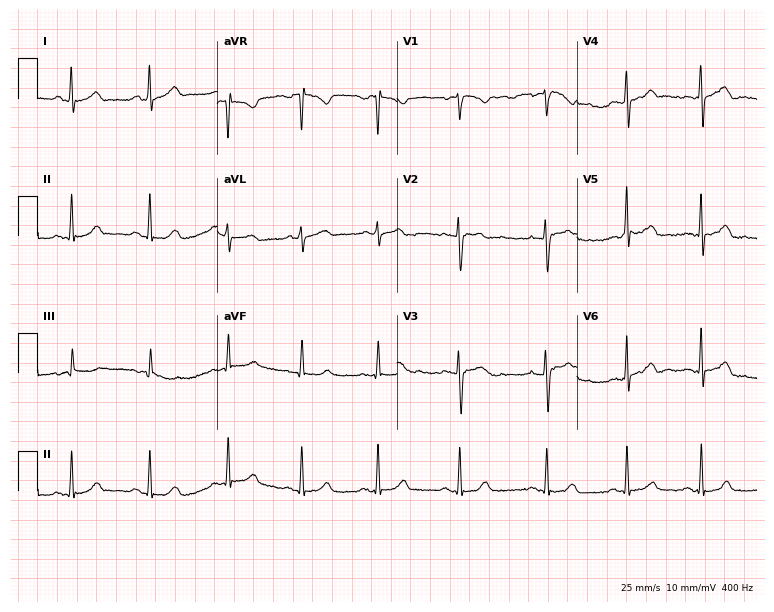
12-lead ECG from a female, 26 years old (7.3-second recording at 400 Hz). Recorded interpretation: within normal limits.